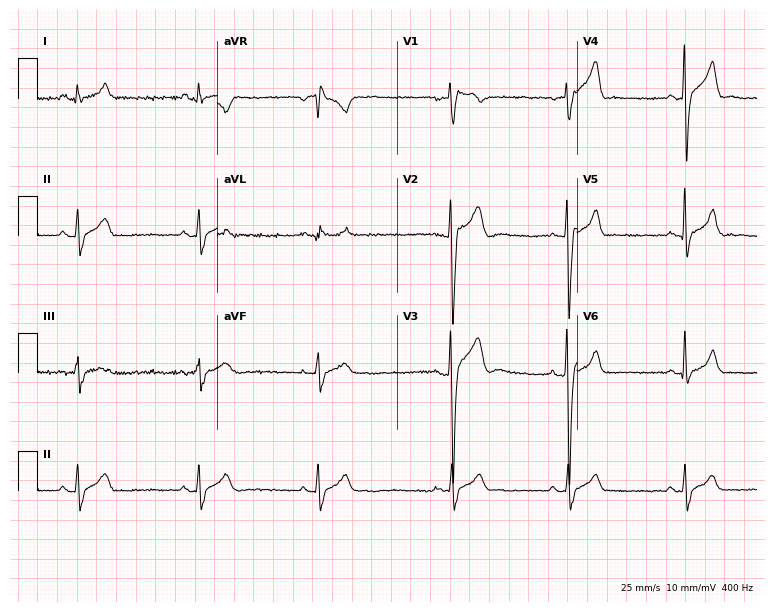
12-lead ECG from a 34-year-old male. Findings include sinus bradycardia (a sinus rate of 50 beats per minute or less).